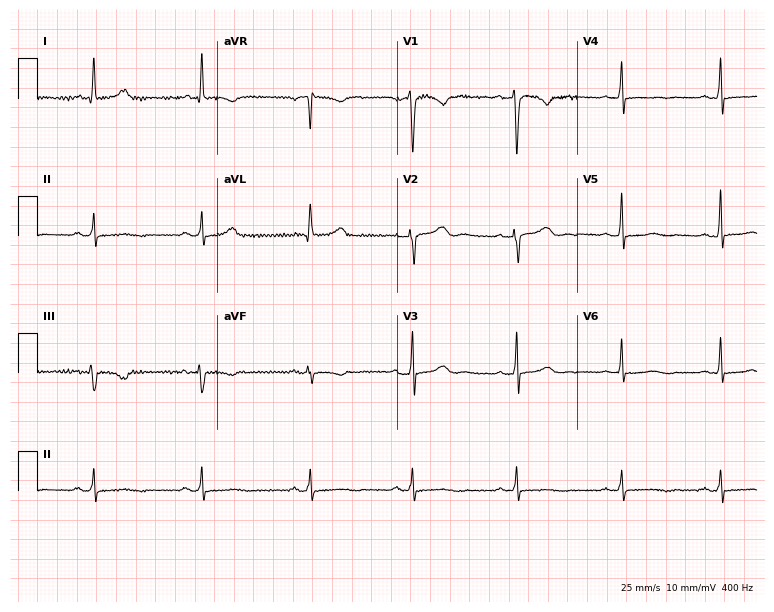
12-lead ECG (7.3-second recording at 400 Hz) from a female, 39 years old. Labelled as a normal ECG.